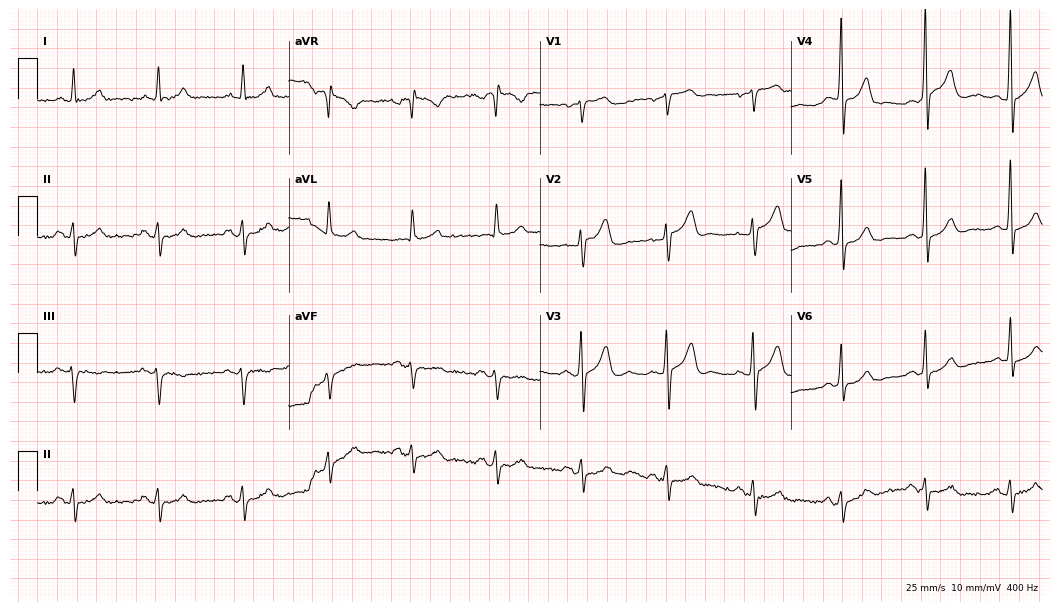
Resting 12-lead electrocardiogram. Patient: a 57-year-old man. None of these six findings is recorded: first-degree AV block, right bundle branch block, left bundle branch block, sinus bradycardia, atrial fibrillation, sinus tachycardia. Only these six findings were labelled.